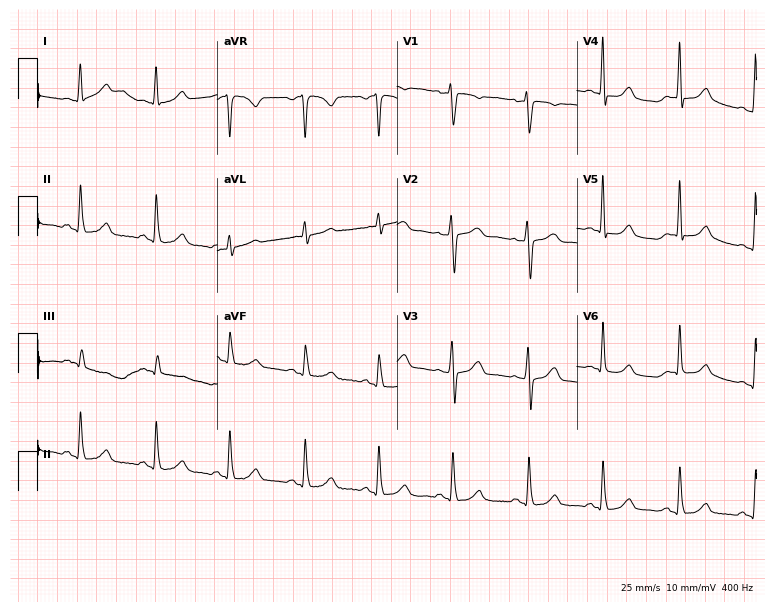
12-lead ECG from a female, 34 years old. No first-degree AV block, right bundle branch block, left bundle branch block, sinus bradycardia, atrial fibrillation or sinus tachycardia recorded for this tracing.